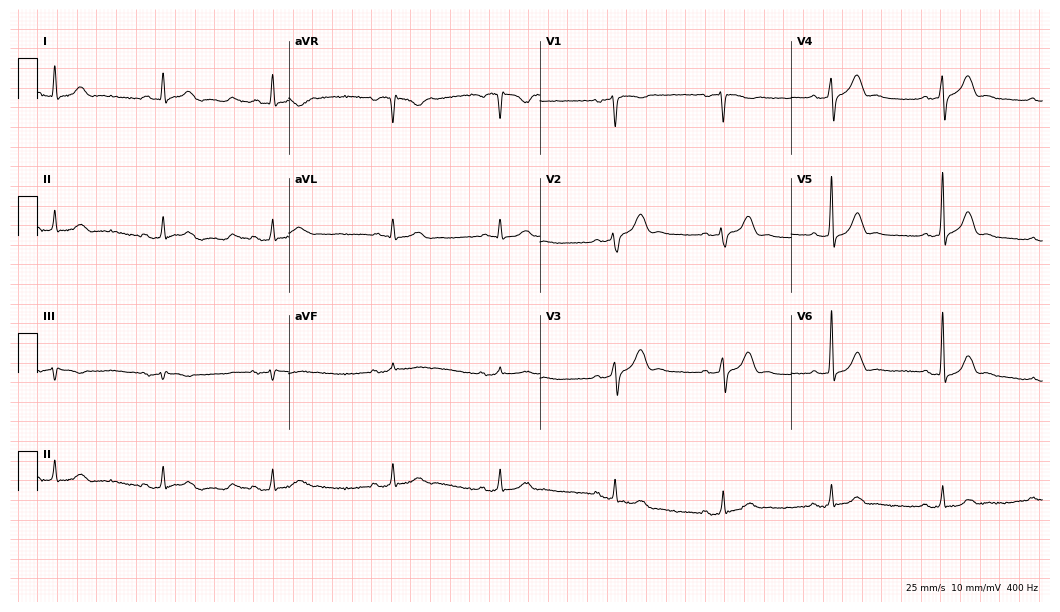
ECG — a 53-year-old male patient. Labelled as a normal ECG.